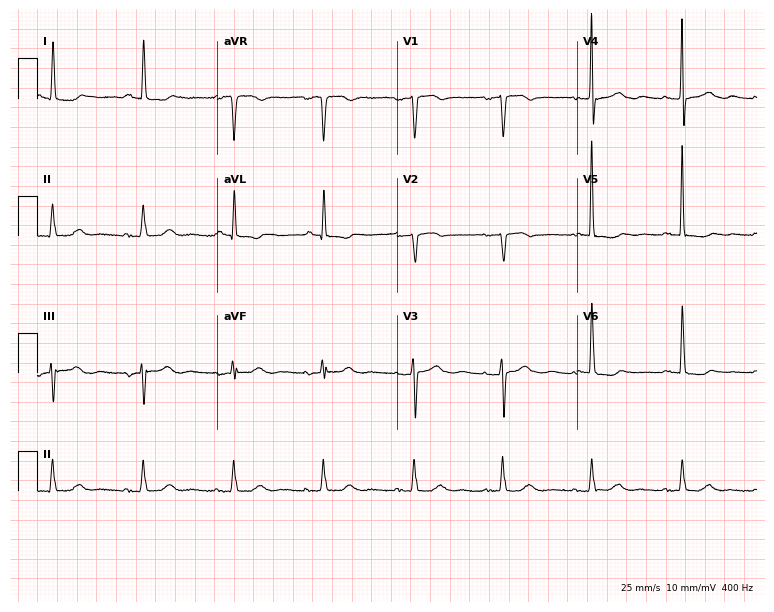
12-lead ECG from a woman, 78 years old. No first-degree AV block, right bundle branch block (RBBB), left bundle branch block (LBBB), sinus bradycardia, atrial fibrillation (AF) or sinus tachycardia recorded for this tracing.